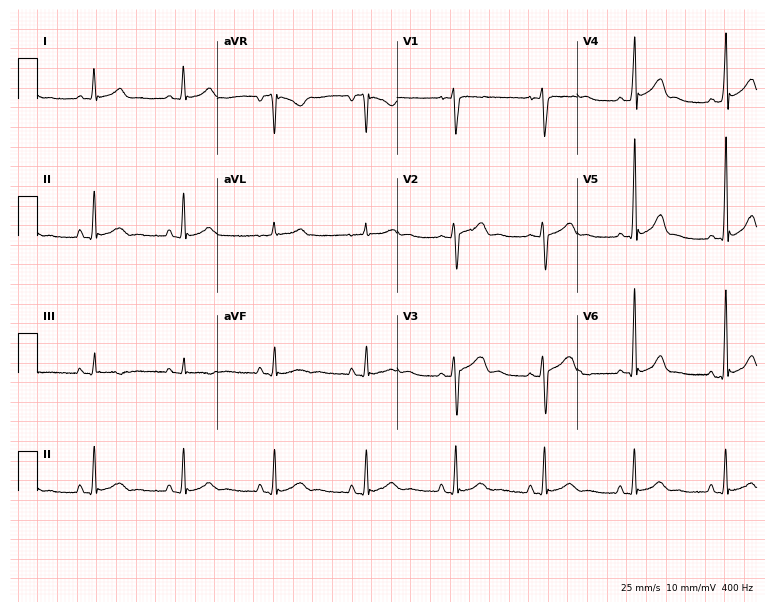
12-lead ECG from a man, 17 years old (7.3-second recording at 400 Hz). Recorded interpretation: within normal limits.